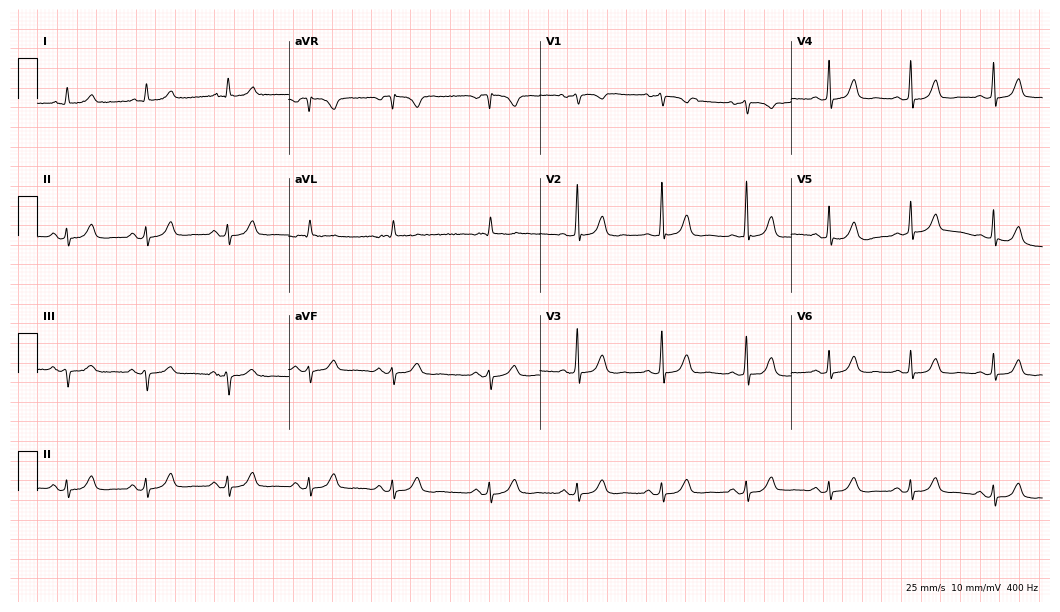
Electrocardiogram (10.2-second recording at 400 Hz), a 73-year-old female. Overall reading on record: normal ECG.